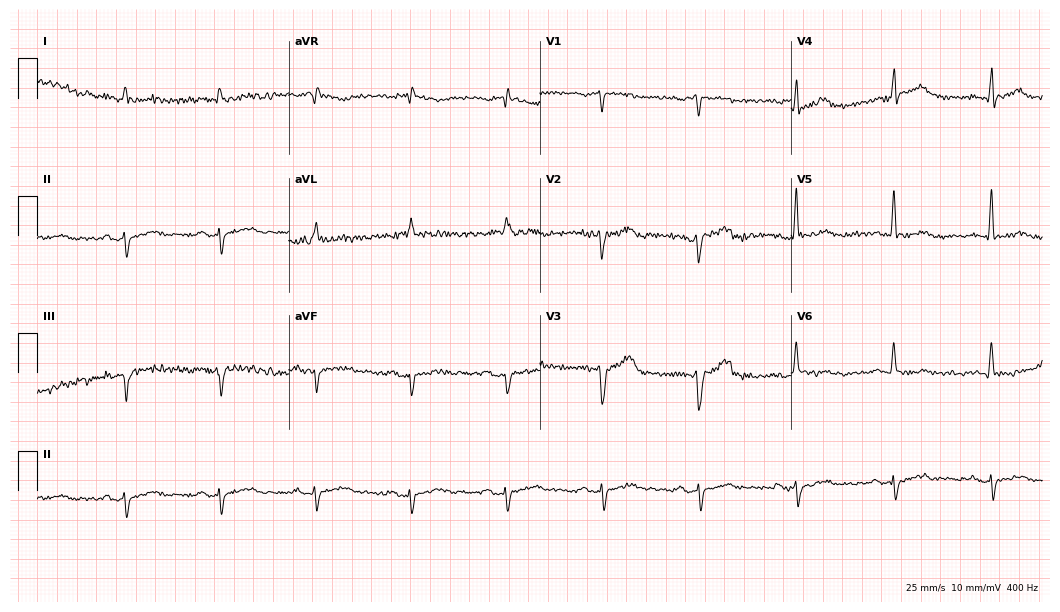
Standard 12-lead ECG recorded from a male, 84 years old (10.2-second recording at 400 Hz). None of these six findings is recorded: first-degree AV block, right bundle branch block, left bundle branch block, sinus bradycardia, atrial fibrillation, sinus tachycardia.